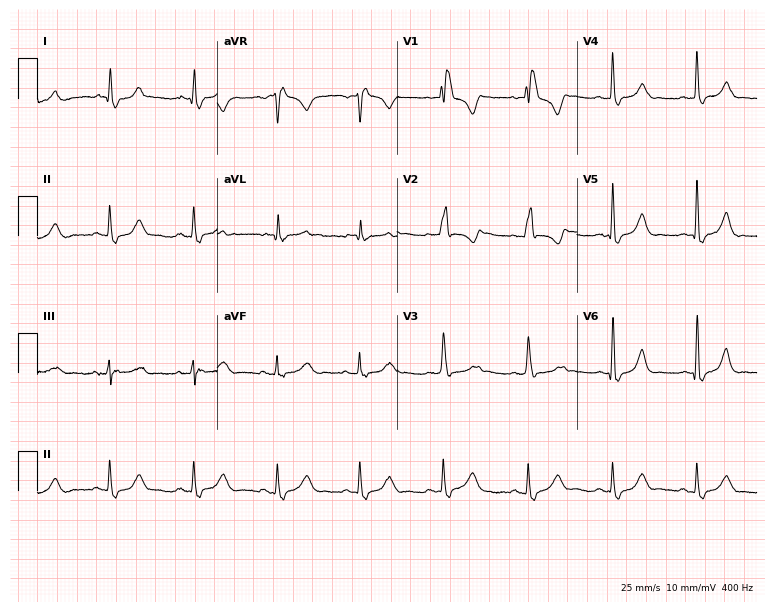
Standard 12-lead ECG recorded from a 54-year-old woman. The tracing shows right bundle branch block.